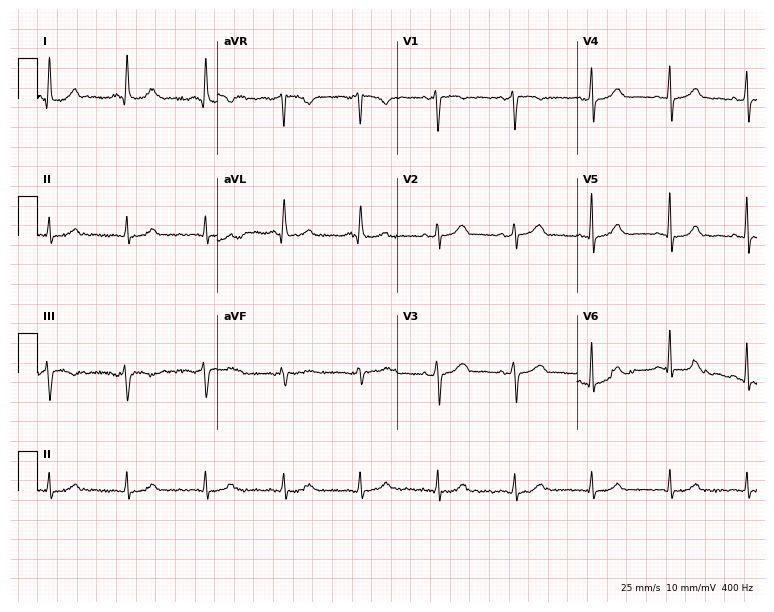
ECG — a 47-year-old female patient. Labelled as a normal ECG.